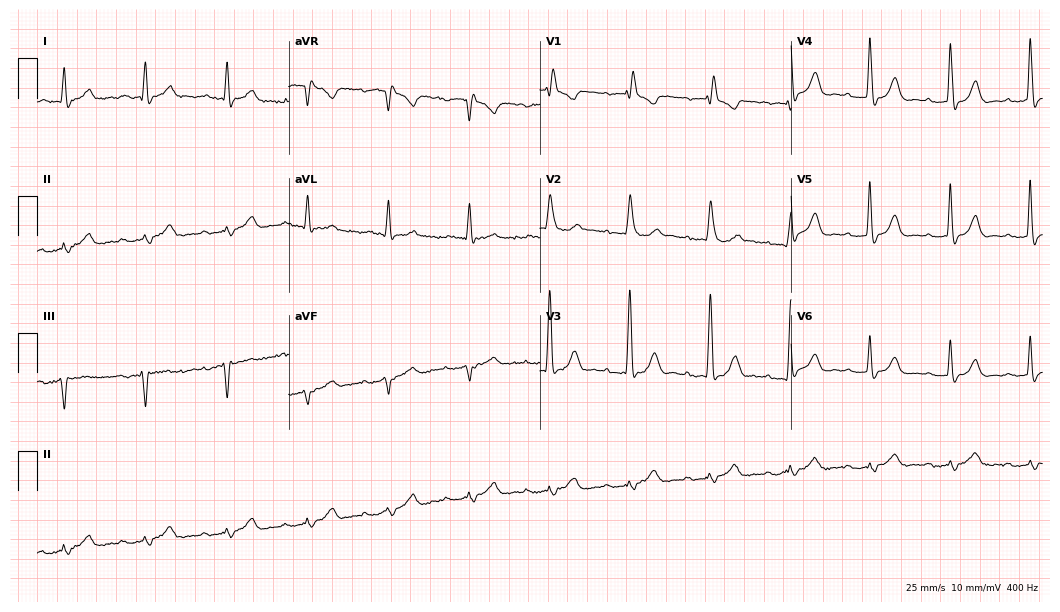
Standard 12-lead ECG recorded from a 78-year-old man (10.2-second recording at 400 Hz). None of these six findings is recorded: first-degree AV block, right bundle branch block, left bundle branch block, sinus bradycardia, atrial fibrillation, sinus tachycardia. Only these six findings were labelled.